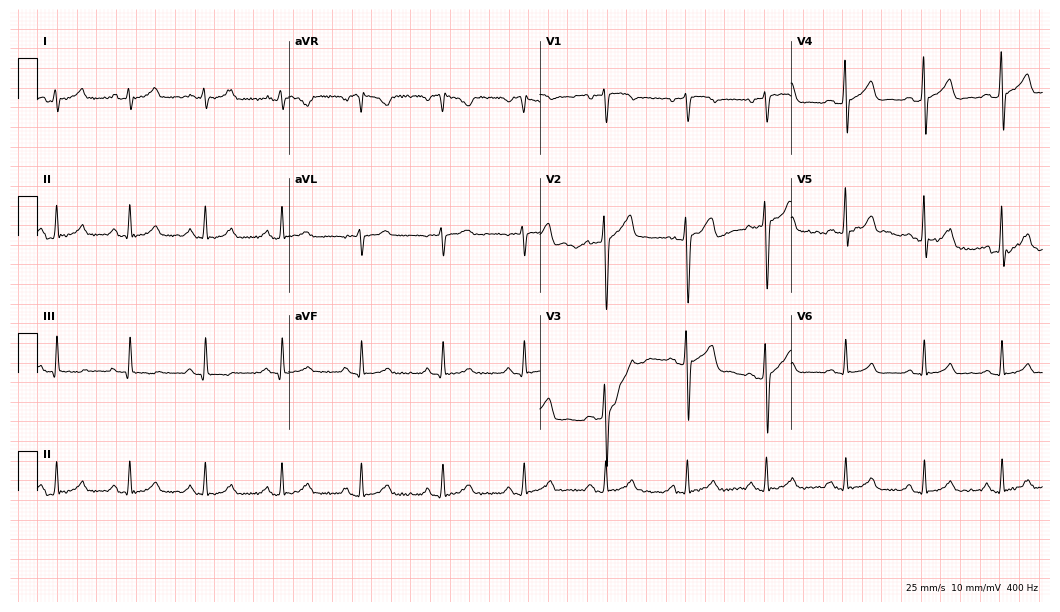
Electrocardiogram, a 42-year-old male. Overall reading on record: normal ECG.